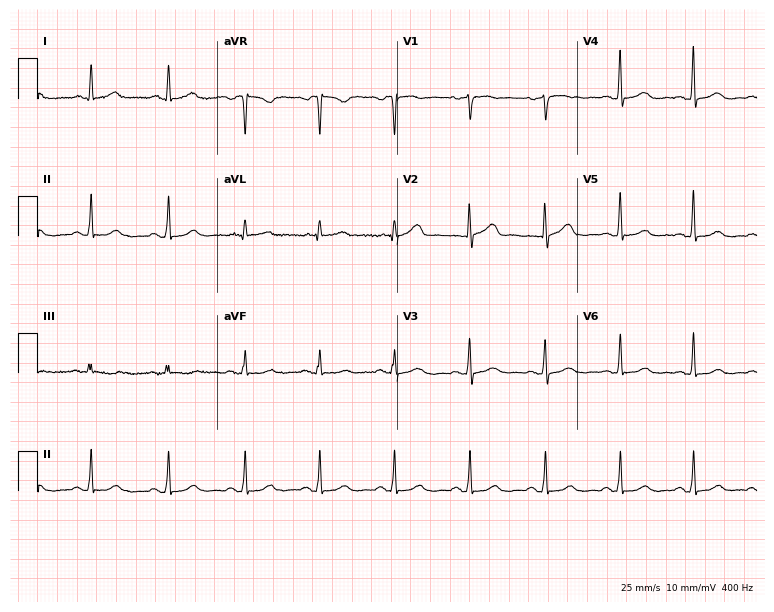
12-lead ECG (7.3-second recording at 400 Hz) from a female patient, 57 years old. Labelled as a normal ECG.